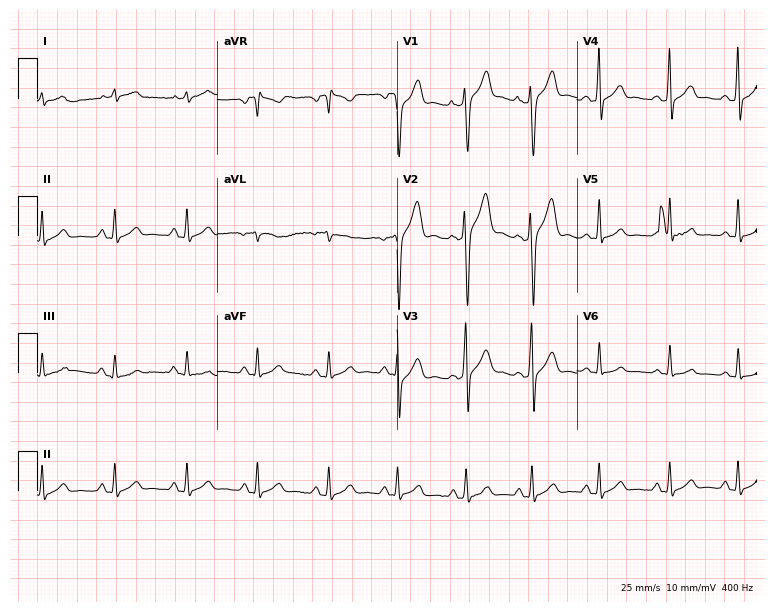
12-lead ECG from a male patient, 20 years old. No first-degree AV block, right bundle branch block (RBBB), left bundle branch block (LBBB), sinus bradycardia, atrial fibrillation (AF) or sinus tachycardia recorded for this tracing. Only these six findings were labelled.